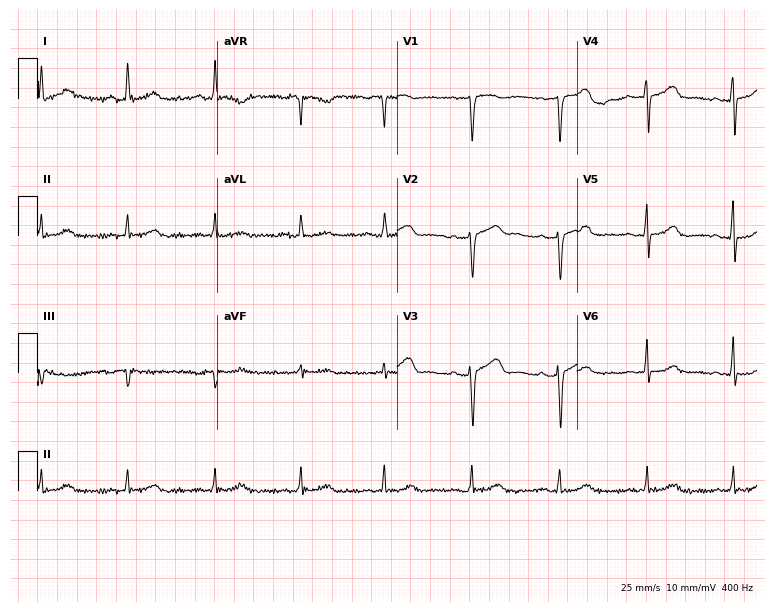
12-lead ECG from a woman, 55 years old (7.3-second recording at 400 Hz). Recorded interpretation: within normal limits.